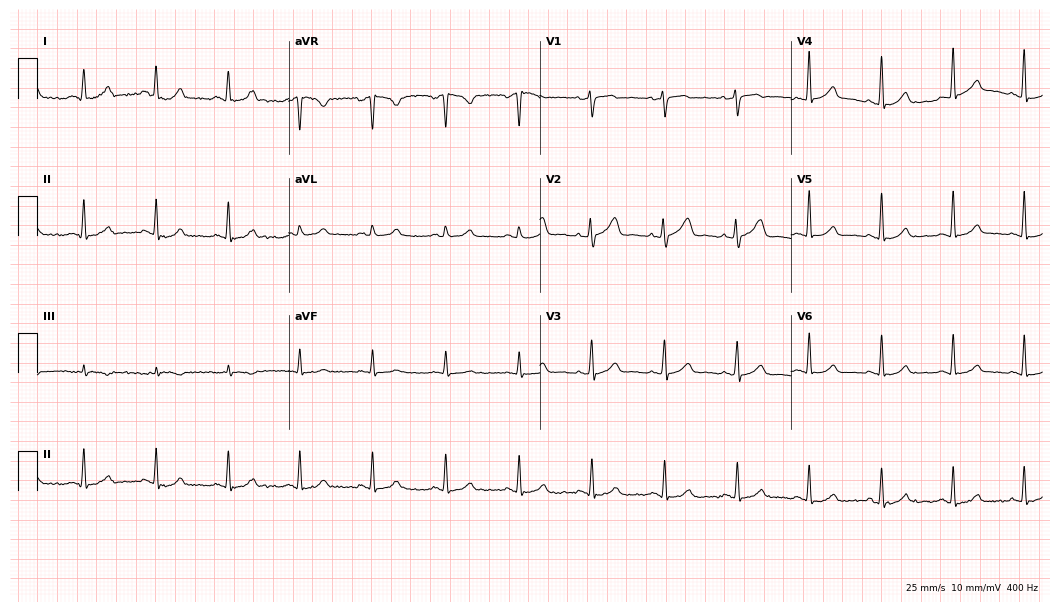
ECG (10.2-second recording at 400 Hz) — a woman, 39 years old. Labelled as a normal ECG.